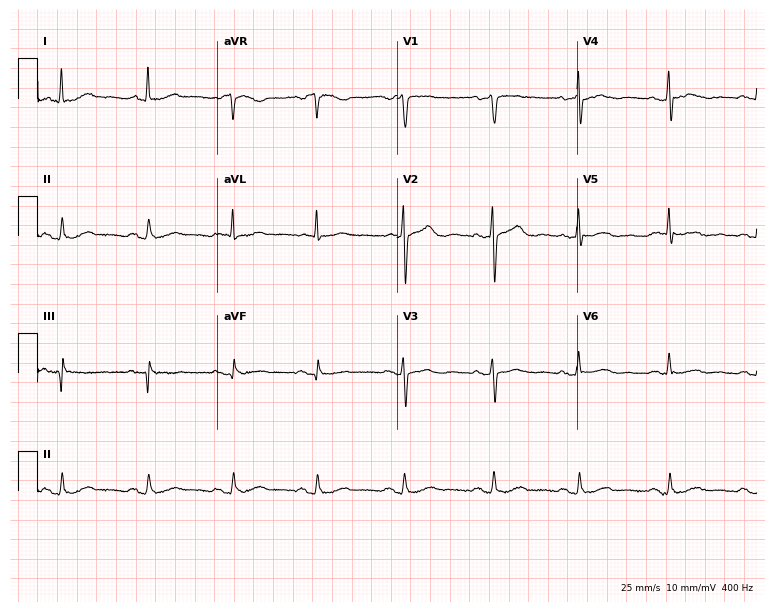
ECG — a female patient, 78 years old. Labelled as a normal ECG.